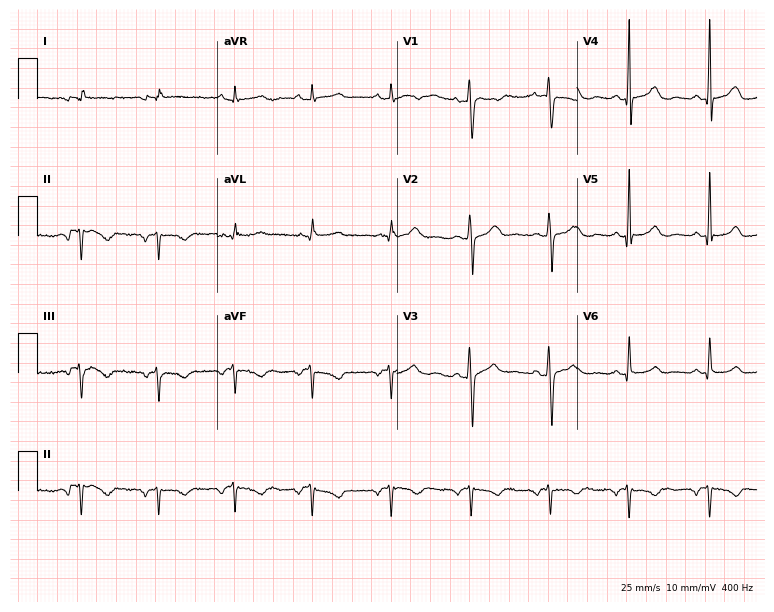
12-lead ECG (7.3-second recording at 400 Hz) from a female, 56 years old. Screened for six findings — first-degree AV block, right bundle branch block, left bundle branch block, sinus bradycardia, atrial fibrillation, sinus tachycardia — none is recorded. Other findings, if any, are not listed.